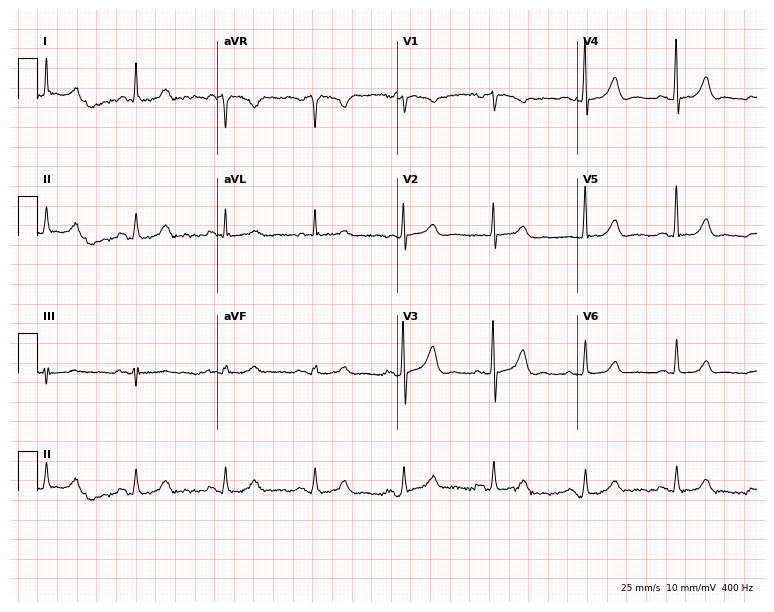
12-lead ECG from a 75-year-old woman. Labelled as a normal ECG.